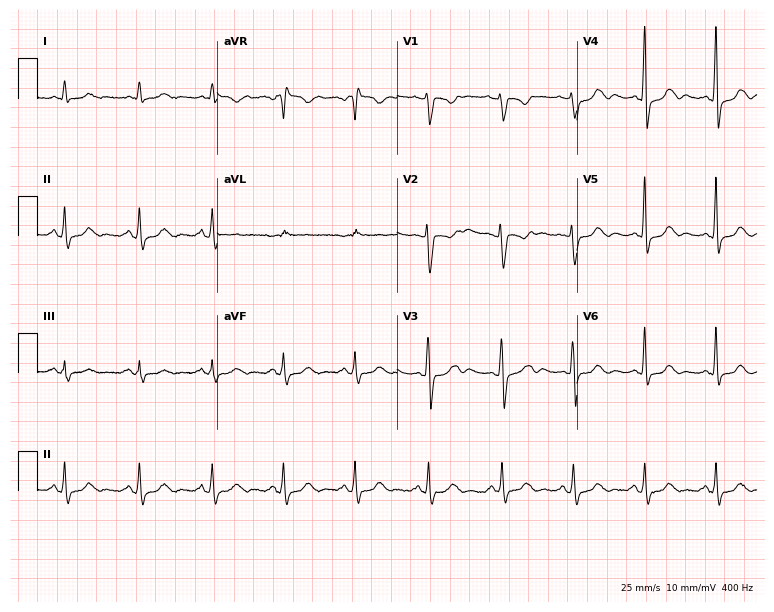
ECG (7.3-second recording at 400 Hz) — a 52-year-old female patient. Labelled as a normal ECG.